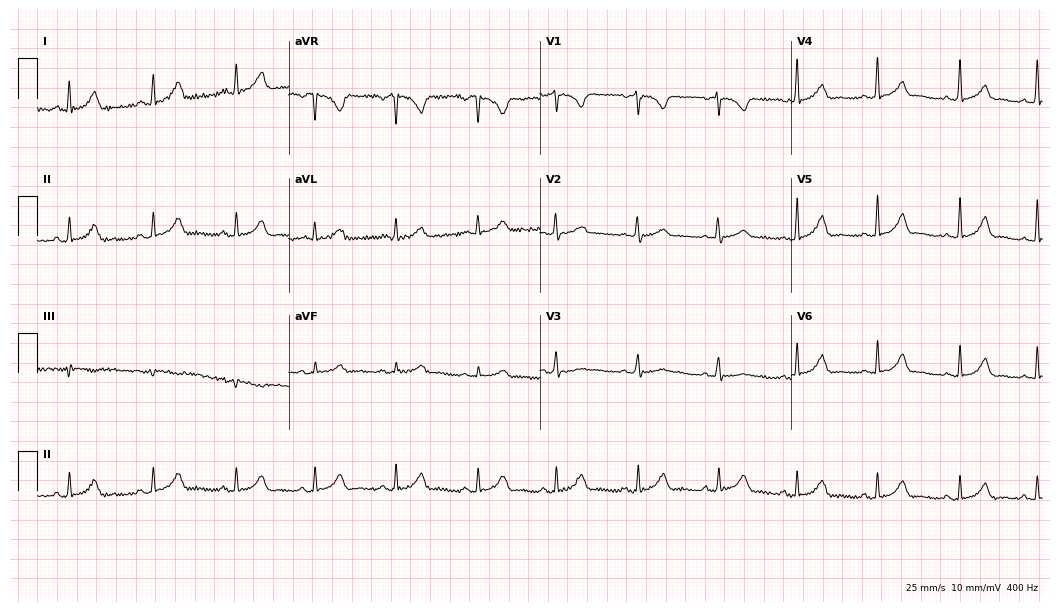
Electrocardiogram (10.2-second recording at 400 Hz), a woman, 21 years old. Overall reading on record: normal ECG.